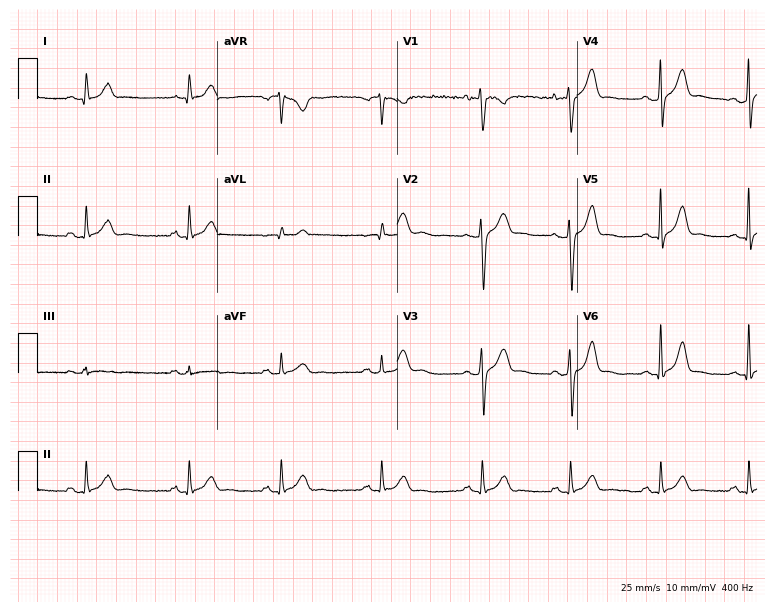
12-lead ECG from a 24-year-old male patient. Labelled as a normal ECG.